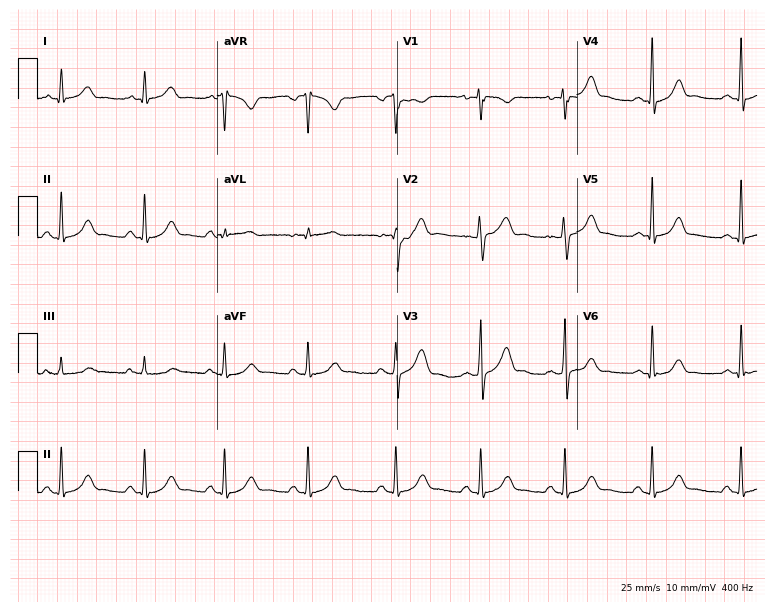
ECG (7.3-second recording at 400 Hz) — a woman, 34 years old. Labelled as a normal ECG.